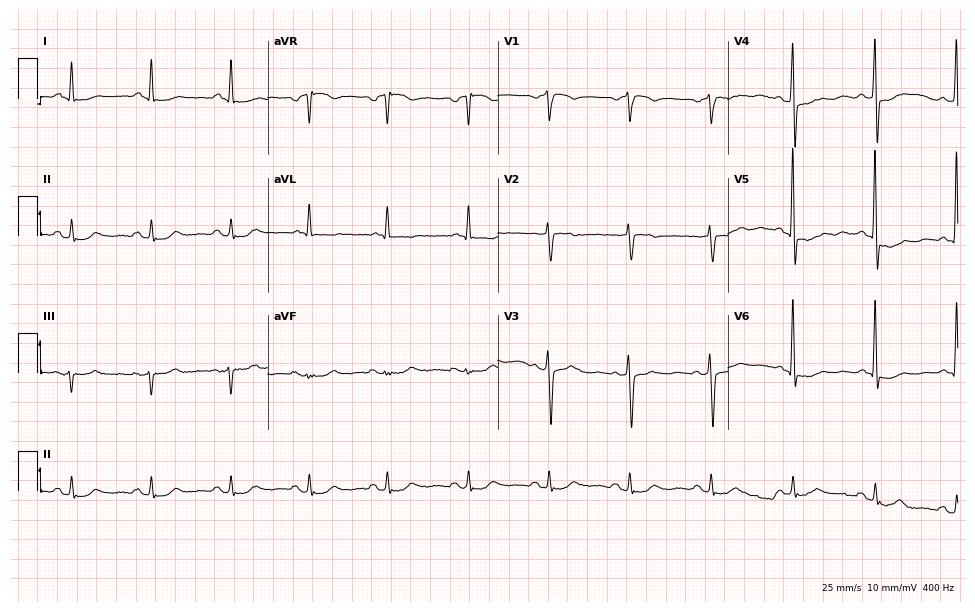
Electrocardiogram, a male, 64 years old. Of the six screened findings (first-degree AV block, right bundle branch block (RBBB), left bundle branch block (LBBB), sinus bradycardia, atrial fibrillation (AF), sinus tachycardia), none is recorded. Findings outside these six are not listed.